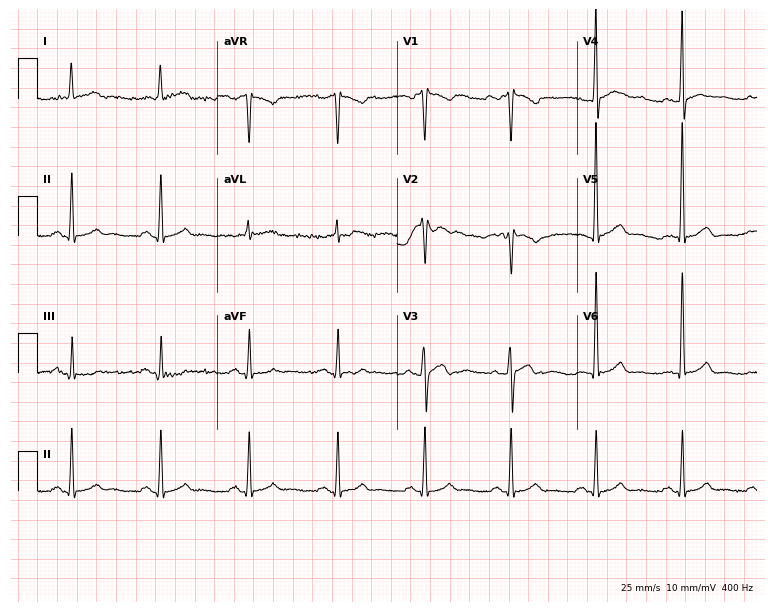
12-lead ECG from a 55-year-old man. Screened for six findings — first-degree AV block, right bundle branch block, left bundle branch block, sinus bradycardia, atrial fibrillation, sinus tachycardia — none is recorded.